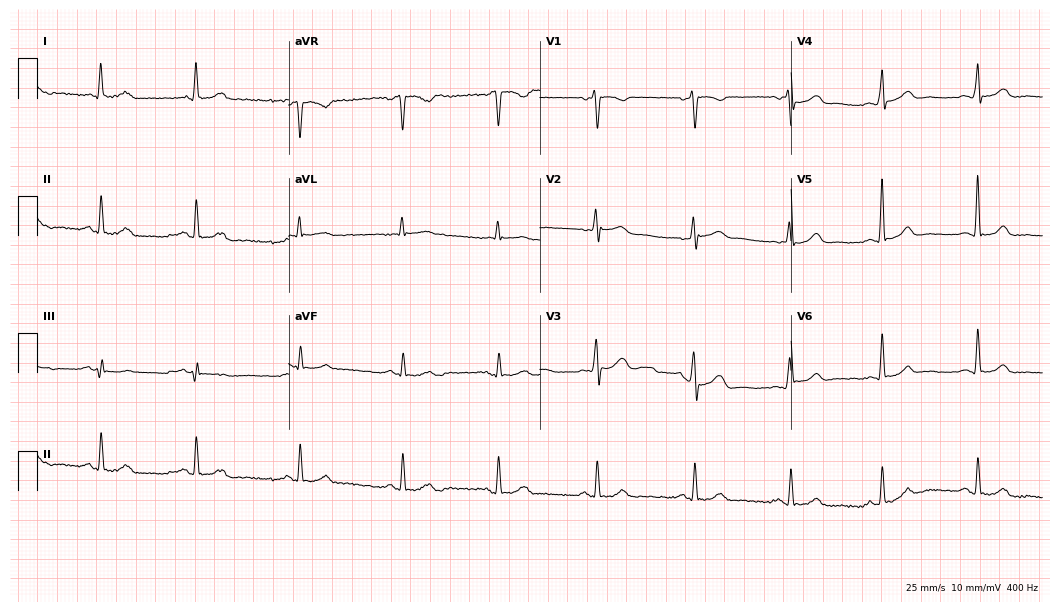
Resting 12-lead electrocardiogram (10.2-second recording at 400 Hz). Patient: a man, 52 years old. None of these six findings is recorded: first-degree AV block, right bundle branch block, left bundle branch block, sinus bradycardia, atrial fibrillation, sinus tachycardia. Only these six findings were labelled.